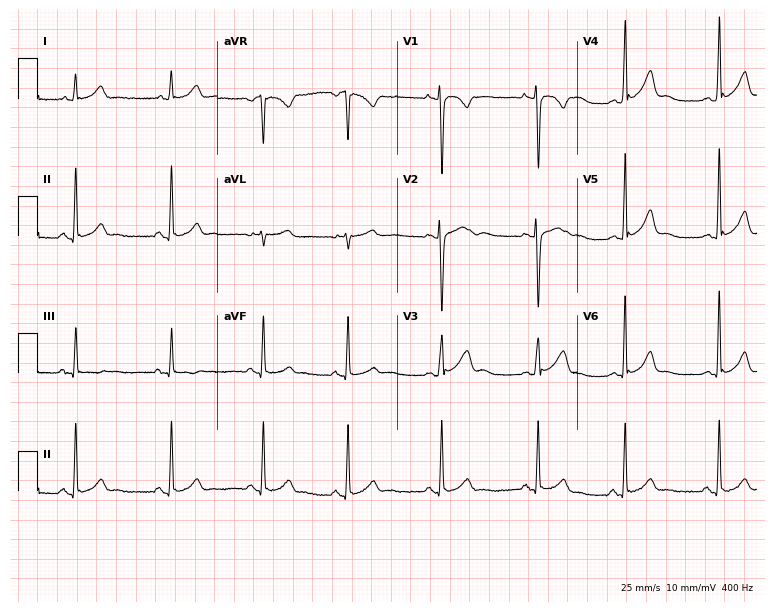
Resting 12-lead electrocardiogram (7.3-second recording at 400 Hz). Patient: a 25-year-old female. Read as a normal ECG.